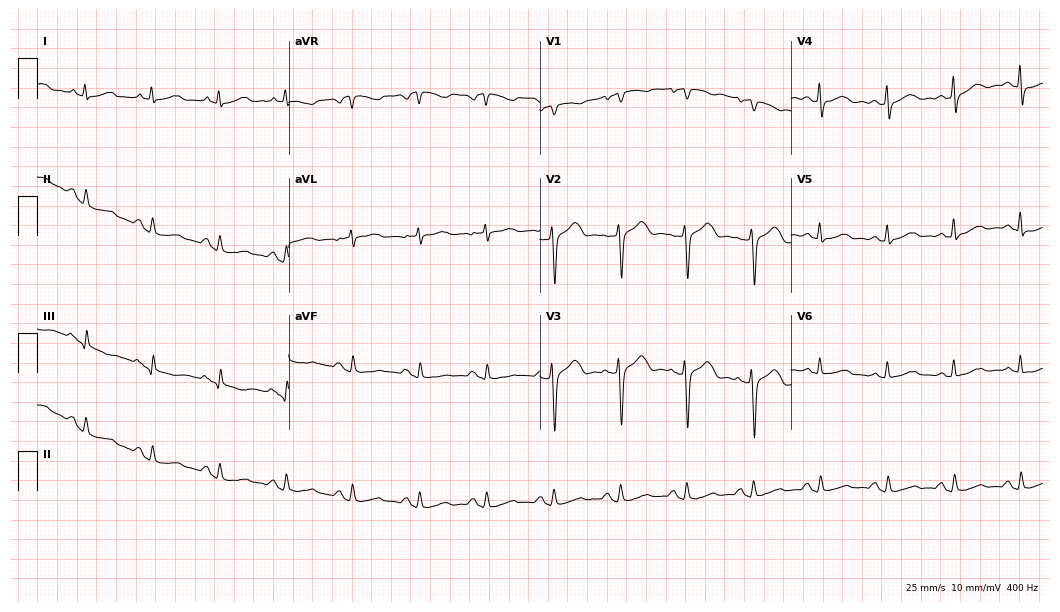
Resting 12-lead electrocardiogram (10.2-second recording at 400 Hz). Patient: a 66-year-old female. None of these six findings is recorded: first-degree AV block, right bundle branch block, left bundle branch block, sinus bradycardia, atrial fibrillation, sinus tachycardia. Findings outside these six are not listed.